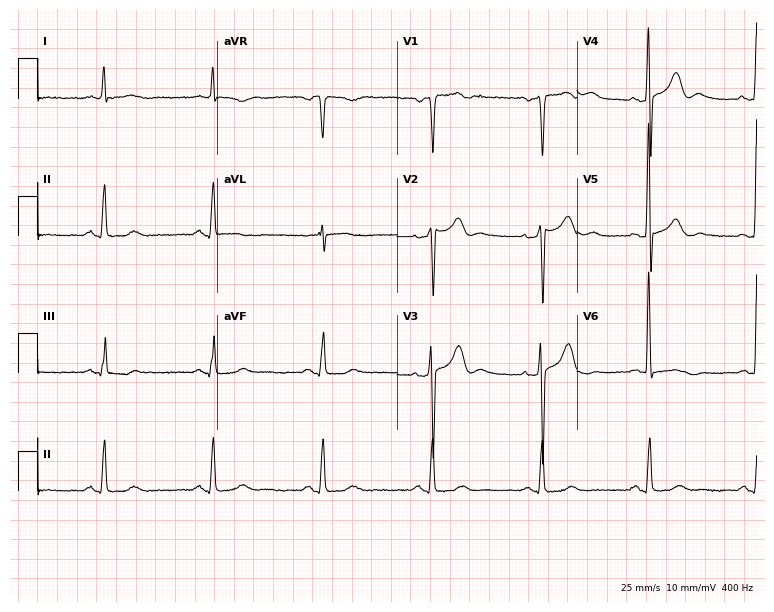
Electrocardiogram, a 65-year-old male patient. Of the six screened findings (first-degree AV block, right bundle branch block, left bundle branch block, sinus bradycardia, atrial fibrillation, sinus tachycardia), none is recorded. Other findings, if any, are not listed.